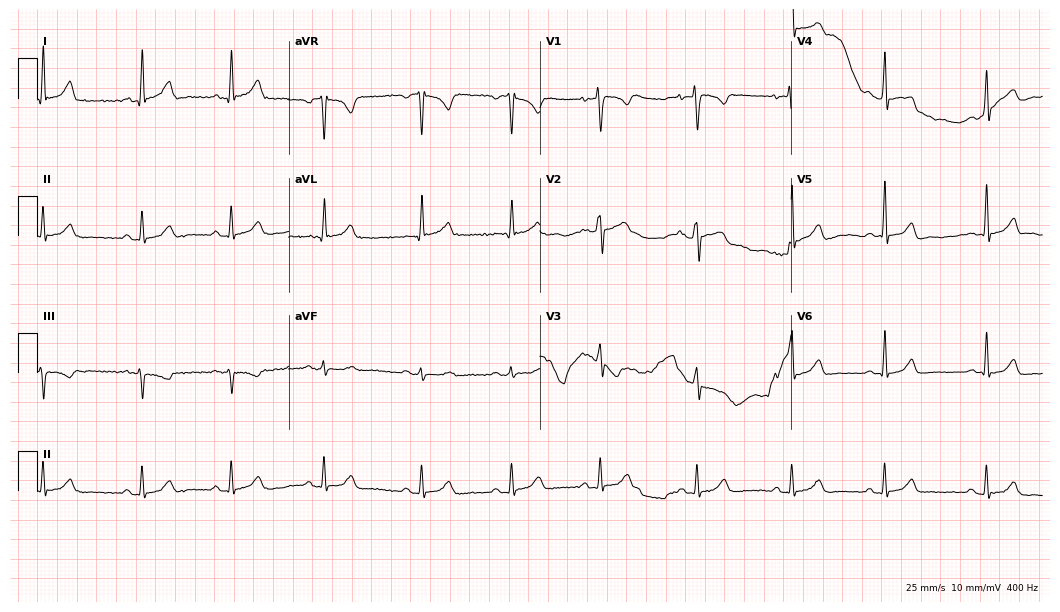
Standard 12-lead ECG recorded from a female patient, 46 years old. Read as a normal ECG.